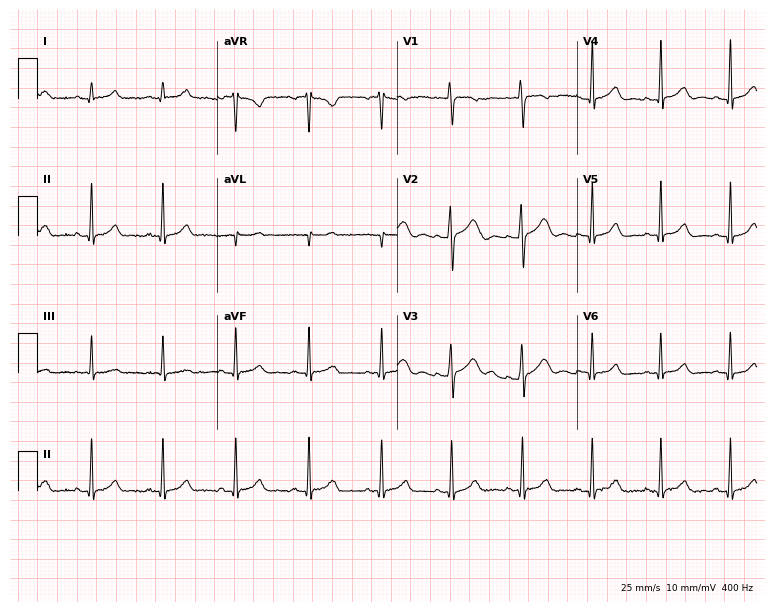
12-lead ECG from a female patient, 26 years old. Labelled as a normal ECG.